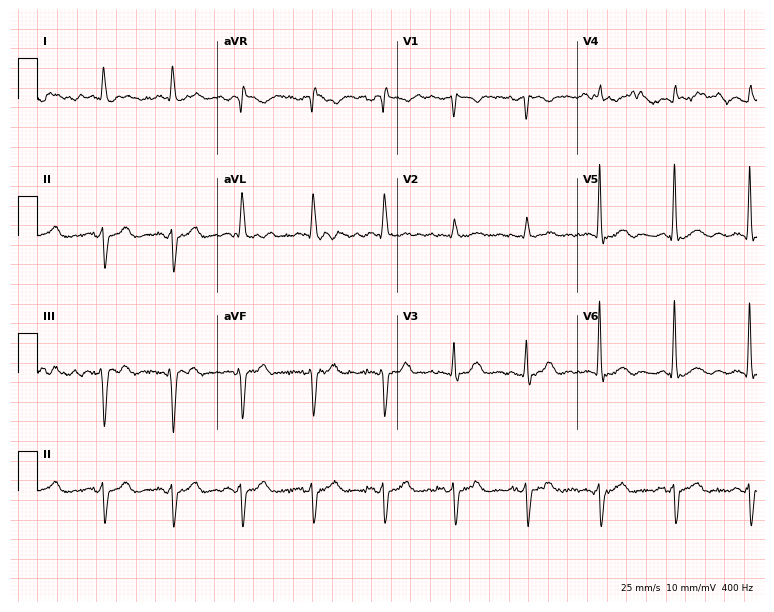
12-lead ECG from a 74-year-old male (7.3-second recording at 400 Hz). No first-degree AV block, right bundle branch block (RBBB), left bundle branch block (LBBB), sinus bradycardia, atrial fibrillation (AF) or sinus tachycardia recorded for this tracing. Other findings, if any, are not listed.